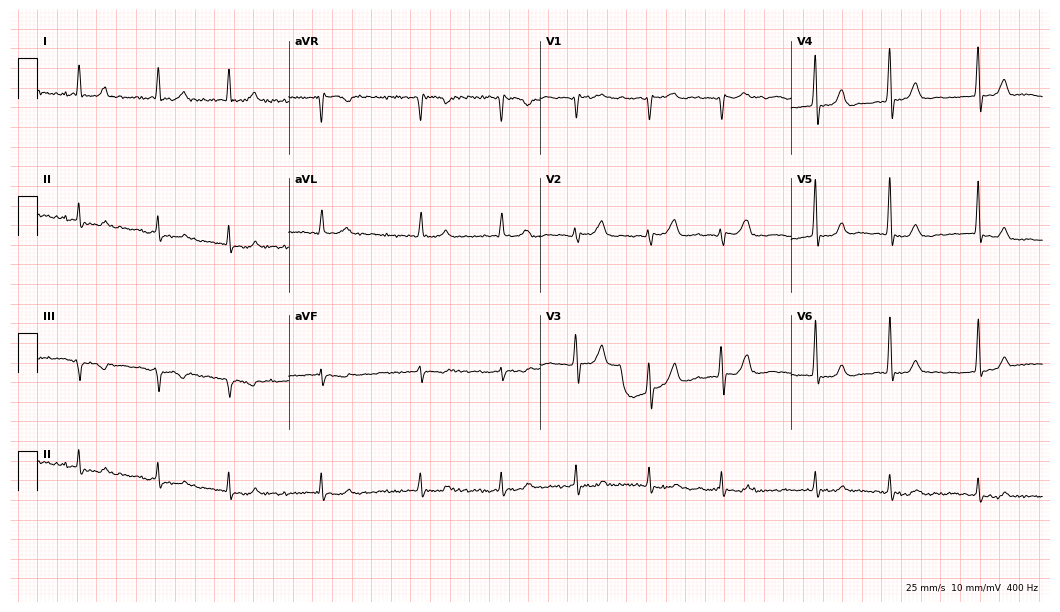
12-lead ECG from a man, 75 years old (10.2-second recording at 400 Hz). Shows atrial fibrillation.